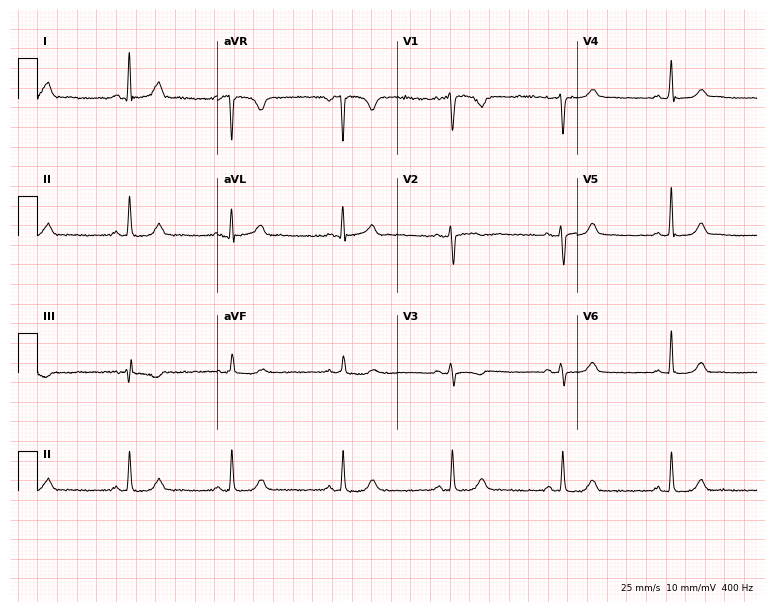
Resting 12-lead electrocardiogram (7.3-second recording at 400 Hz). Patient: a 41-year-old female. Read as a normal ECG.